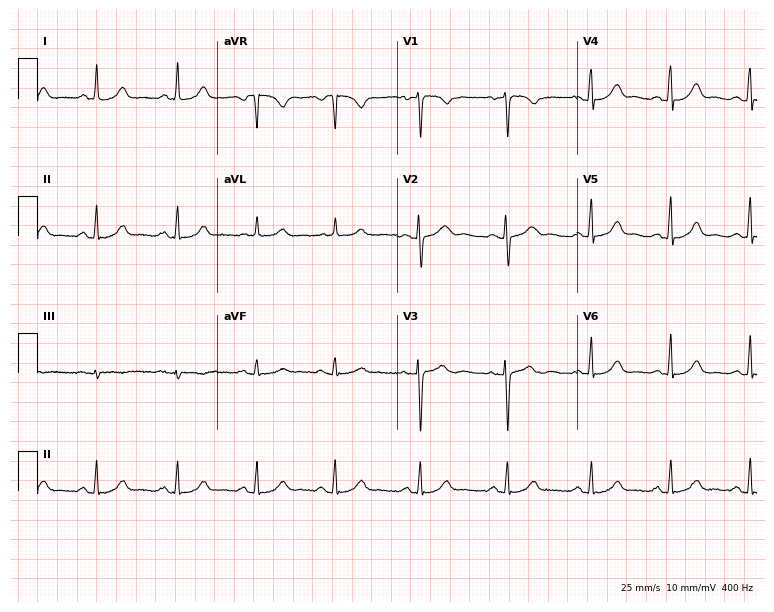
Electrocardiogram (7.3-second recording at 400 Hz), a 29-year-old female. Overall reading on record: normal ECG.